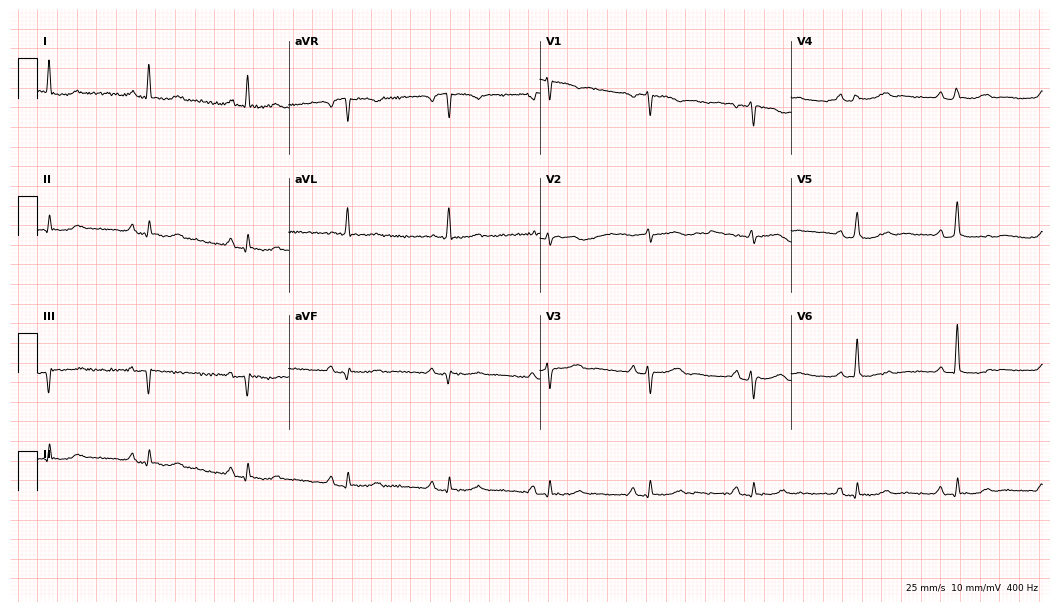
12-lead ECG from a 52-year-old woman (10.2-second recording at 400 Hz). No first-degree AV block, right bundle branch block, left bundle branch block, sinus bradycardia, atrial fibrillation or sinus tachycardia recorded for this tracing. Other findings, if any, are not listed.